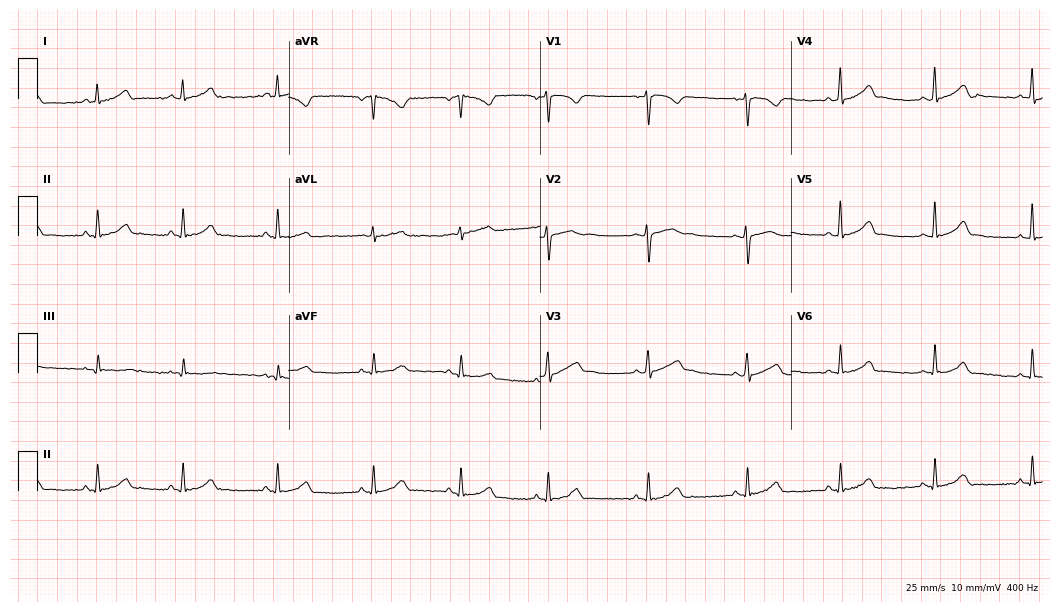
Resting 12-lead electrocardiogram. Patient: a female, 23 years old. Read as a normal ECG.